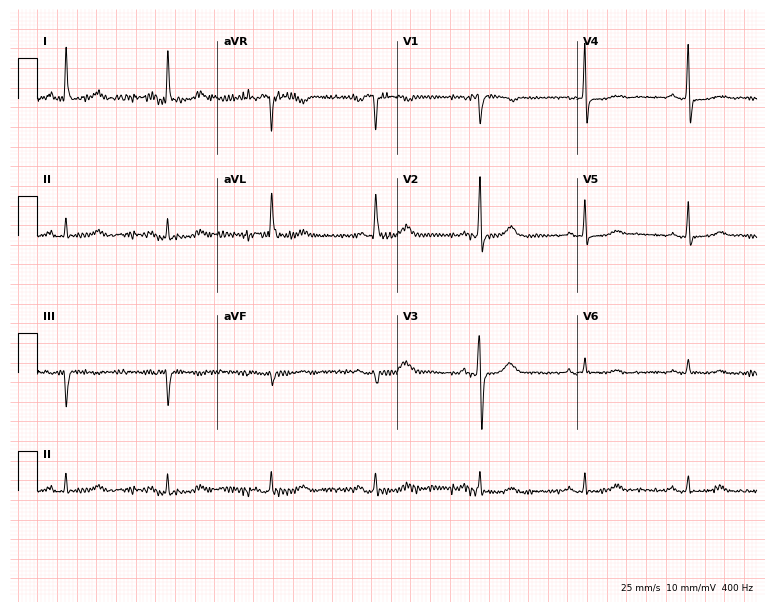
12-lead ECG from a 77-year-old female. Recorded interpretation: within normal limits.